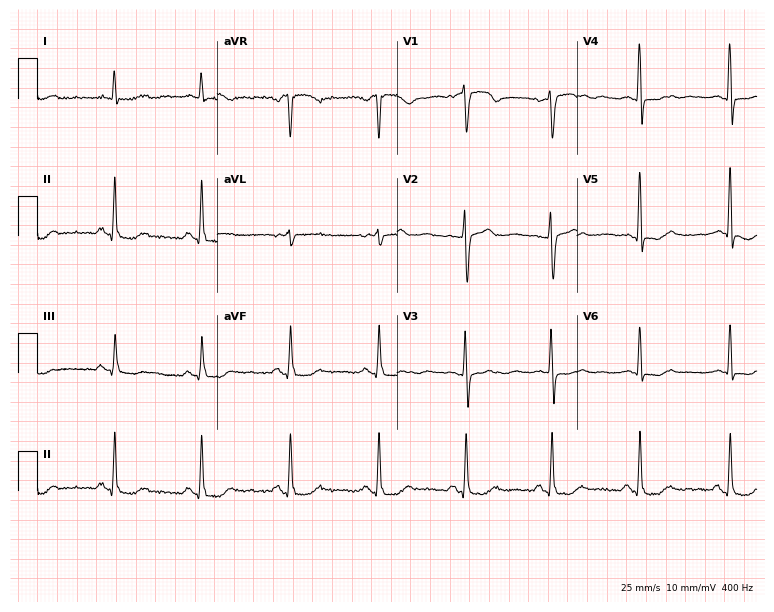
12-lead ECG (7.3-second recording at 400 Hz) from a 49-year-old woman. Screened for six findings — first-degree AV block, right bundle branch block (RBBB), left bundle branch block (LBBB), sinus bradycardia, atrial fibrillation (AF), sinus tachycardia — none is recorded.